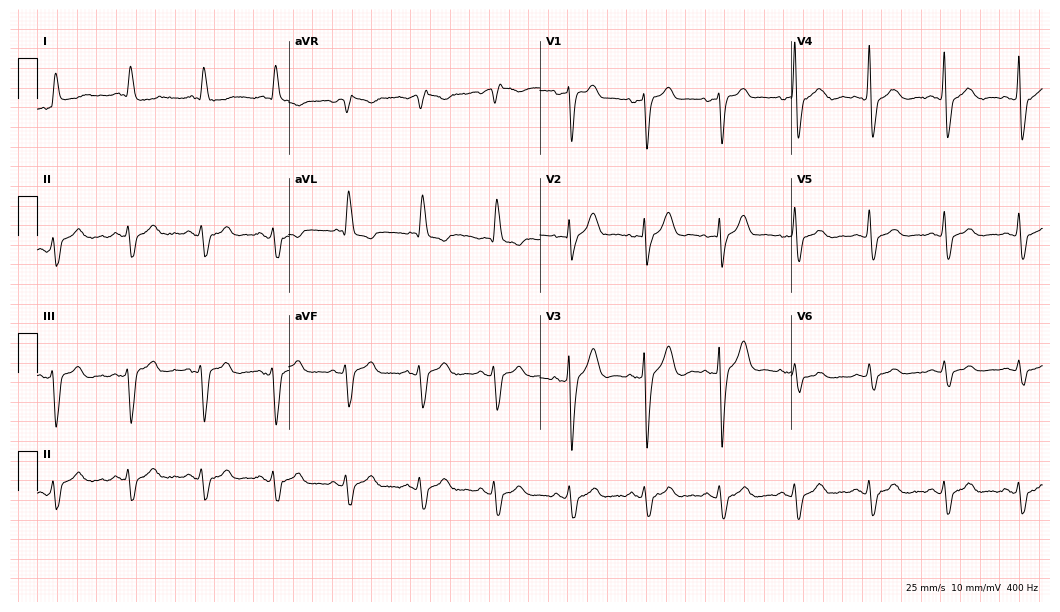
Standard 12-lead ECG recorded from an 83-year-old man. The tracing shows left bundle branch block.